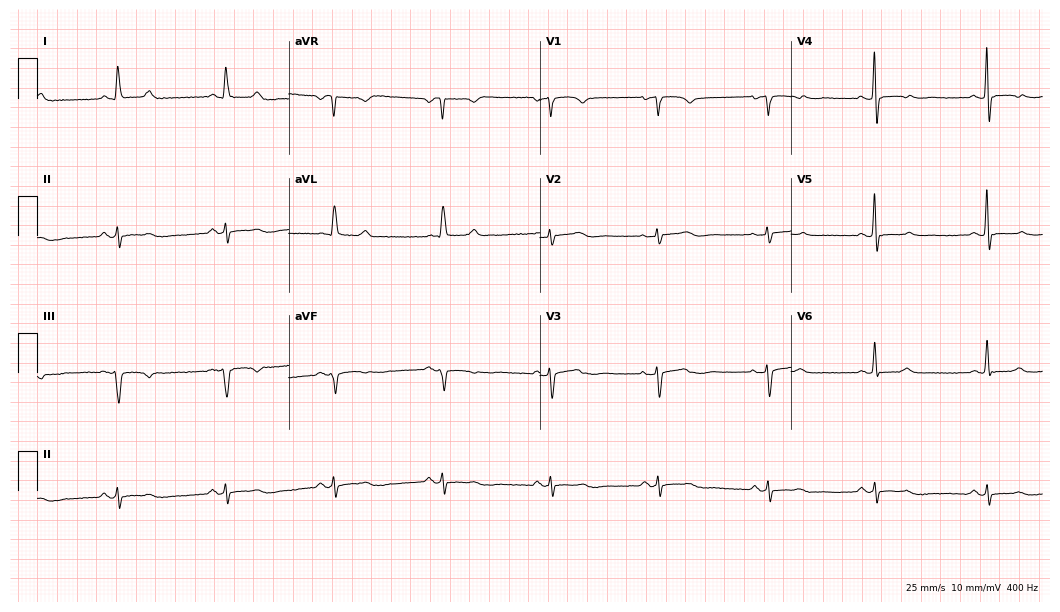
12-lead ECG from a 60-year-old woman (10.2-second recording at 400 Hz). No first-degree AV block, right bundle branch block (RBBB), left bundle branch block (LBBB), sinus bradycardia, atrial fibrillation (AF) or sinus tachycardia recorded for this tracing.